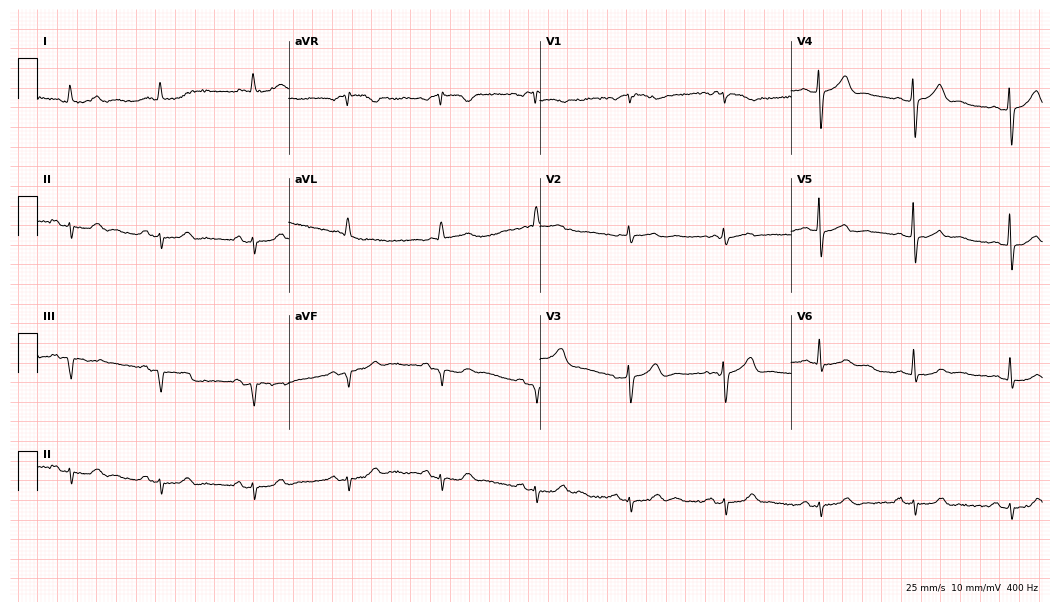
Electrocardiogram (10.2-second recording at 400 Hz), a 73-year-old female. Of the six screened findings (first-degree AV block, right bundle branch block (RBBB), left bundle branch block (LBBB), sinus bradycardia, atrial fibrillation (AF), sinus tachycardia), none is recorded.